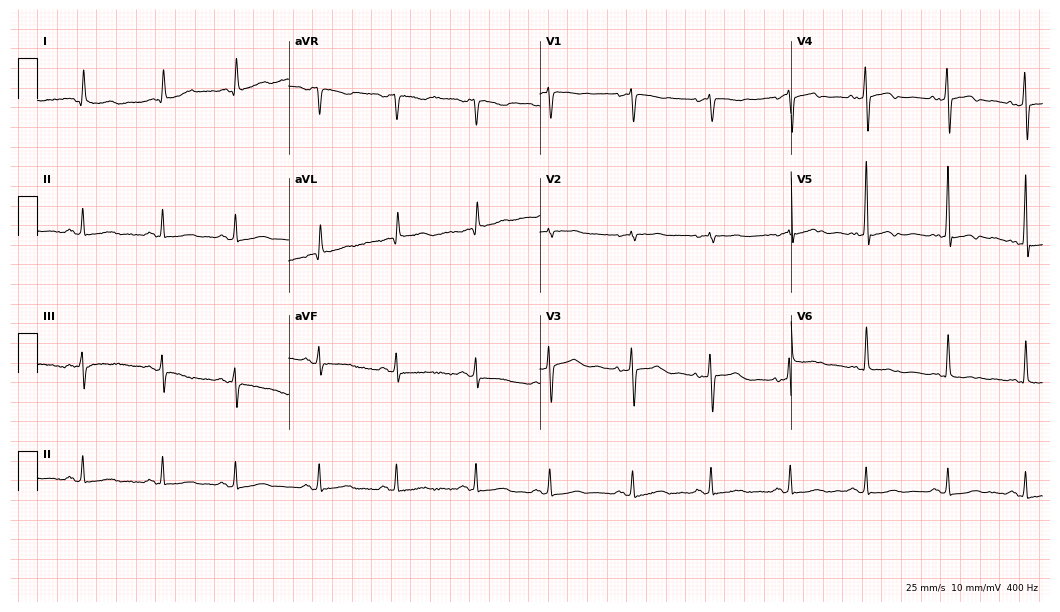
12-lead ECG (10.2-second recording at 400 Hz) from a 72-year-old female patient. Screened for six findings — first-degree AV block, right bundle branch block, left bundle branch block, sinus bradycardia, atrial fibrillation, sinus tachycardia — none is recorded.